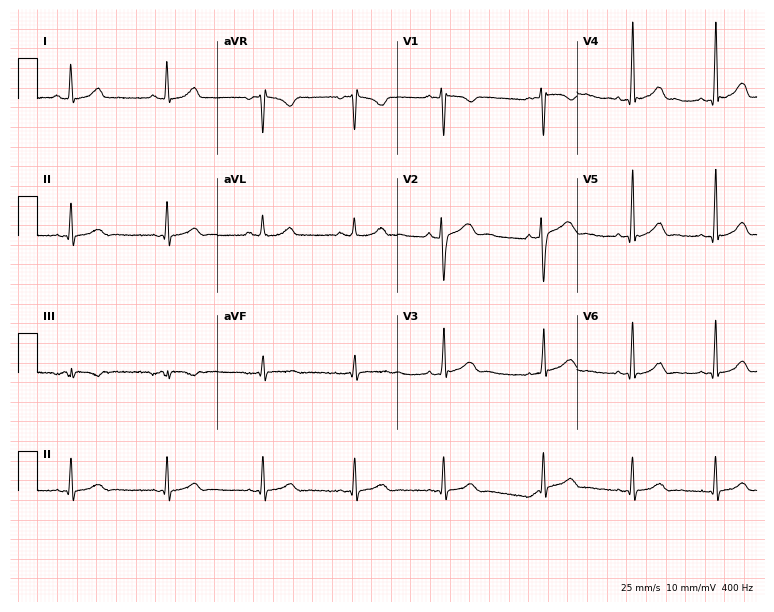
Electrocardiogram, a 23-year-old female patient. Overall reading on record: normal ECG.